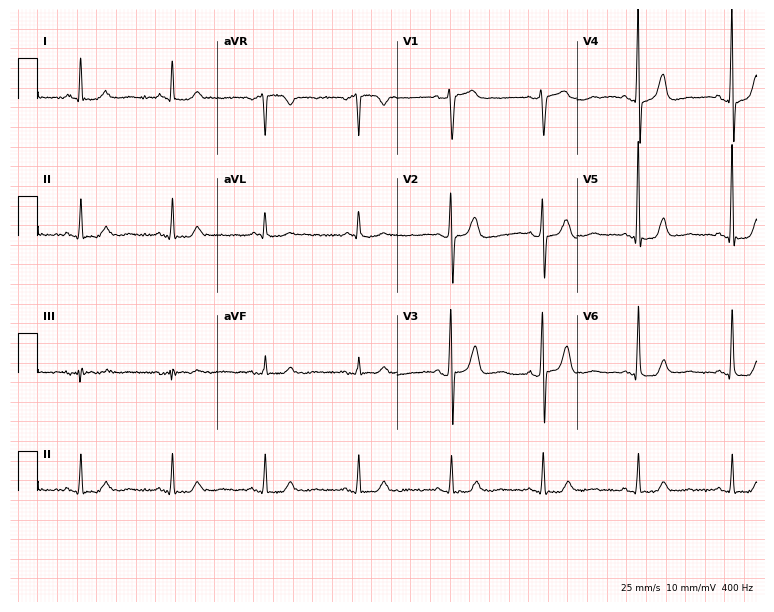
Standard 12-lead ECG recorded from a male, 74 years old. None of these six findings is recorded: first-degree AV block, right bundle branch block, left bundle branch block, sinus bradycardia, atrial fibrillation, sinus tachycardia.